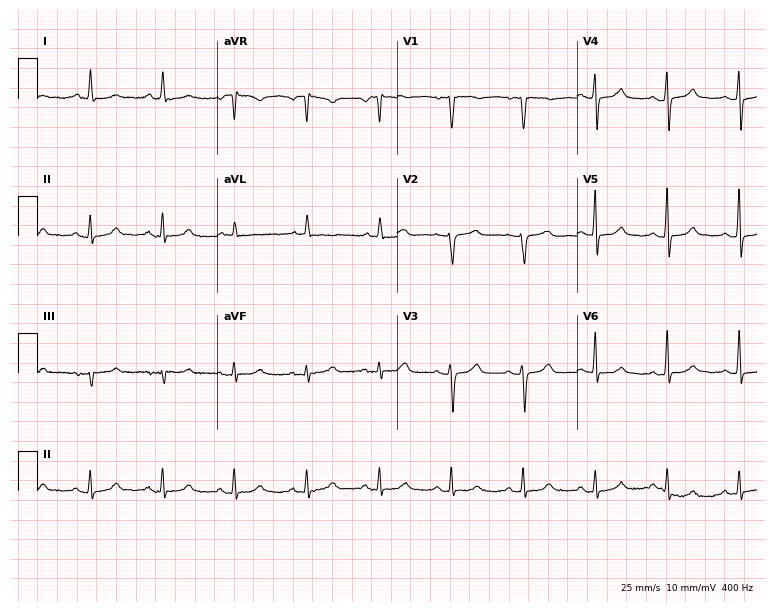
Resting 12-lead electrocardiogram (7.3-second recording at 400 Hz). Patient: a 59-year-old woman. Read as a normal ECG.